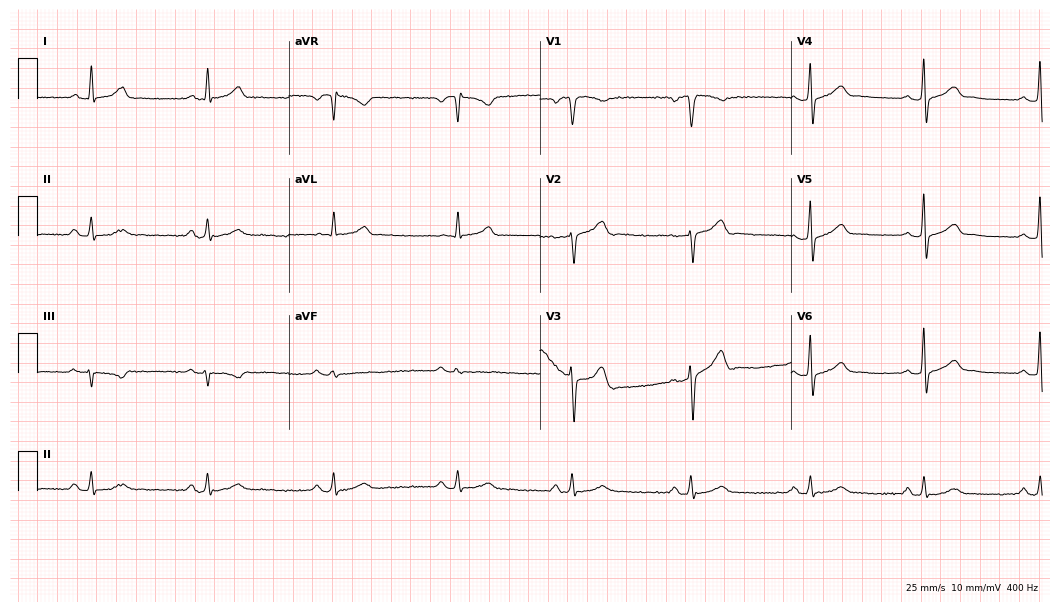
Resting 12-lead electrocardiogram. Patient: a man, 70 years old. Read as a normal ECG.